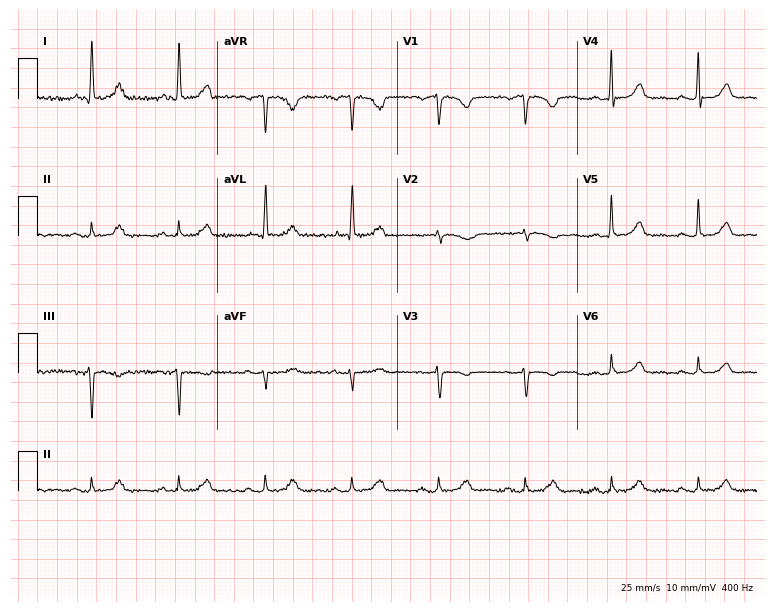
12-lead ECG from a female patient, 74 years old (7.3-second recording at 400 Hz). Recorded interpretation: within normal limits.